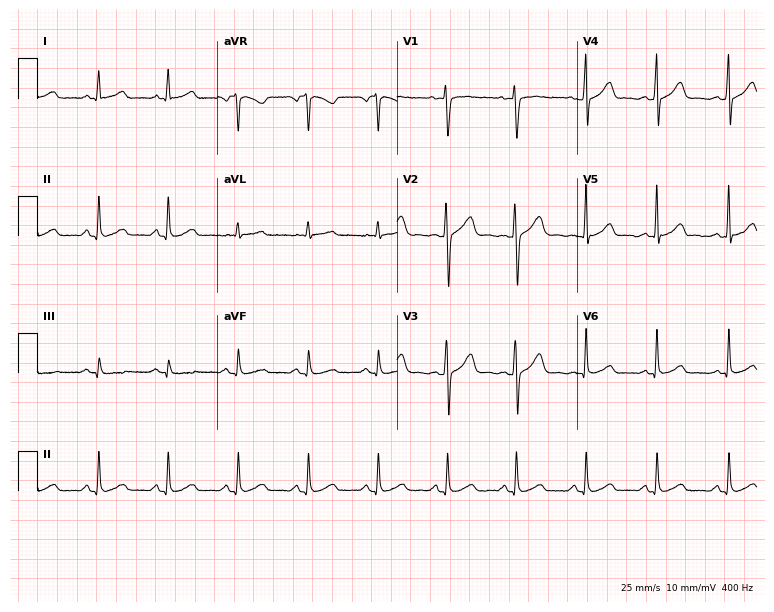
Electrocardiogram (7.3-second recording at 400 Hz), a 33-year-old female. Overall reading on record: normal ECG.